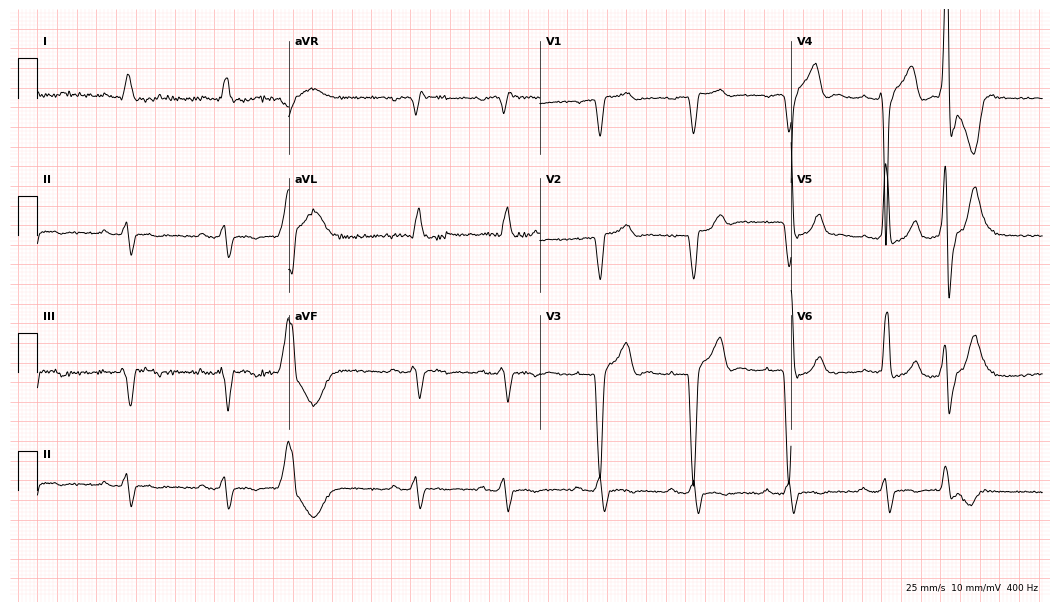
Resting 12-lead electrocardiogram (10.2-second recording at 400 Hz). Patient: a 69-year-old man. The tracing shows left bundle branch block.